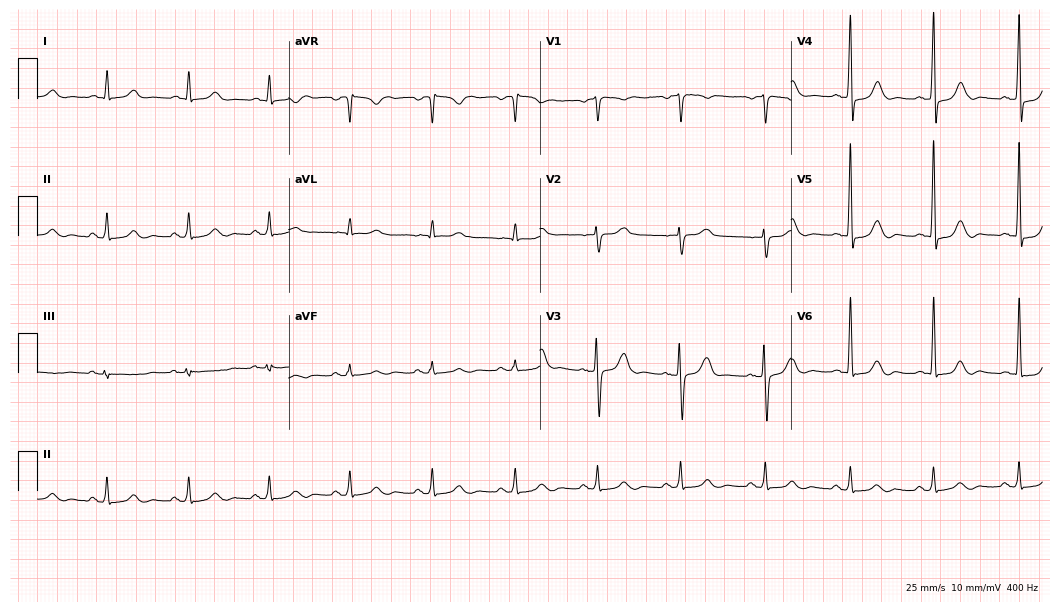
Standard 12-lead ECG recorded from a woman, 70 years old (10.2-second recording at 400 Hz). Read as a normal ECG.